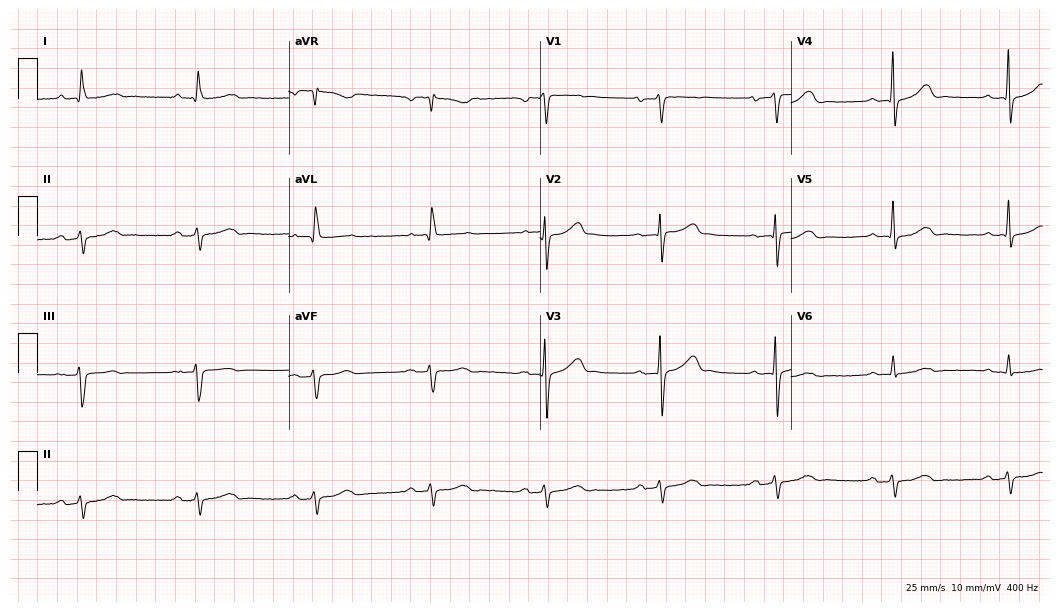
Electrocardiogram (10.2-second recording at 400 Hz), a 70-year-old man. Interpretation includes first-degree AV block.